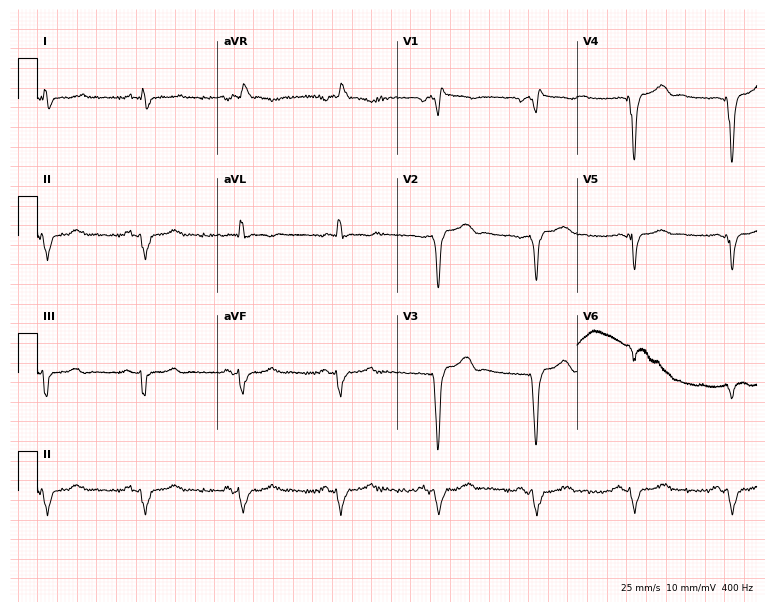
Standard 12-lead ECG recorded from a 50-year-old female (7.3-second recording at 400 Hz). None of these six findings is recorded: first-degree AV block, right bundle branch block, left bundle branch block, sinus bradycardia, atrial fibrillation, sinus tachycardia.